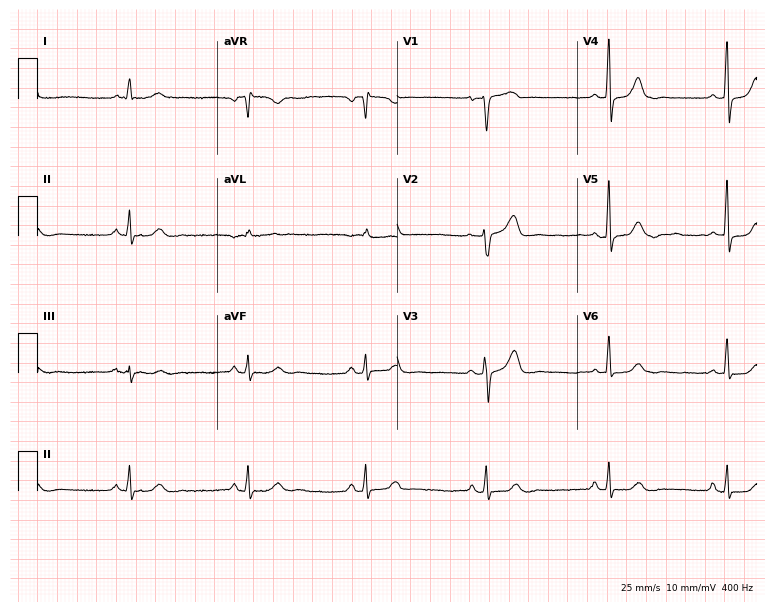
Electrocardiogram (7.3-second recording at 400 Hz), a woman, 60 years old. Interpretation includes sinus bradycardia (a sinus rate of 50 beats per minute or less).